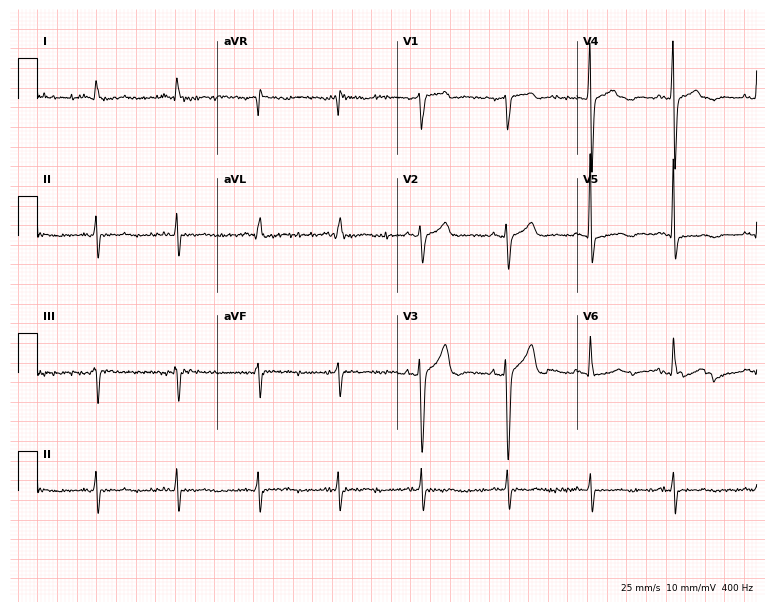
Electrocardiogram, a 51-year-old male patient. Of the six screened findings (first-degree AV block, right bundle branch block, left bundle branch block, sinus bradycardia, atrial fibrillation, sinus tachycardia), none is recorded. Other findings, if any, are not listed.